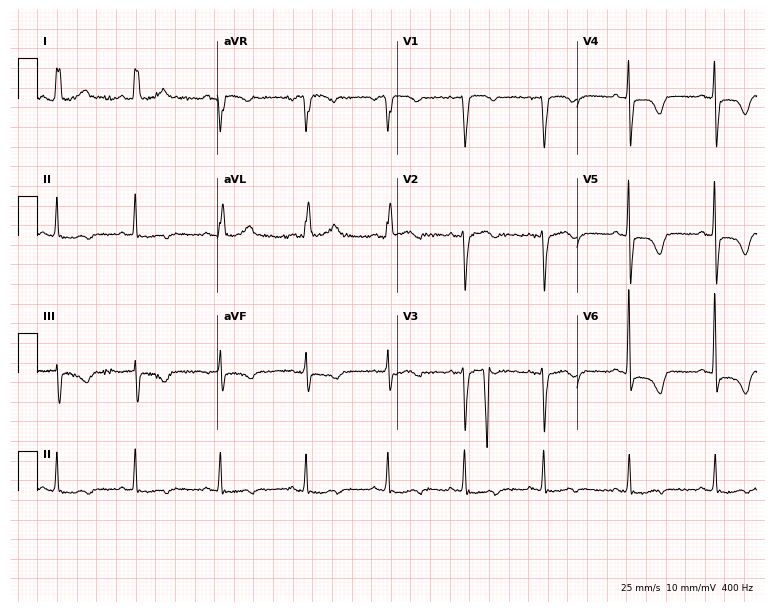
12-lead ECG from a 73-year-old female patient. No first-degree AV block, right bundle branch block, left bundle branch block, sinus bradycardia, atrial fibrillation or sinus tachycardia recorded for this tracing.